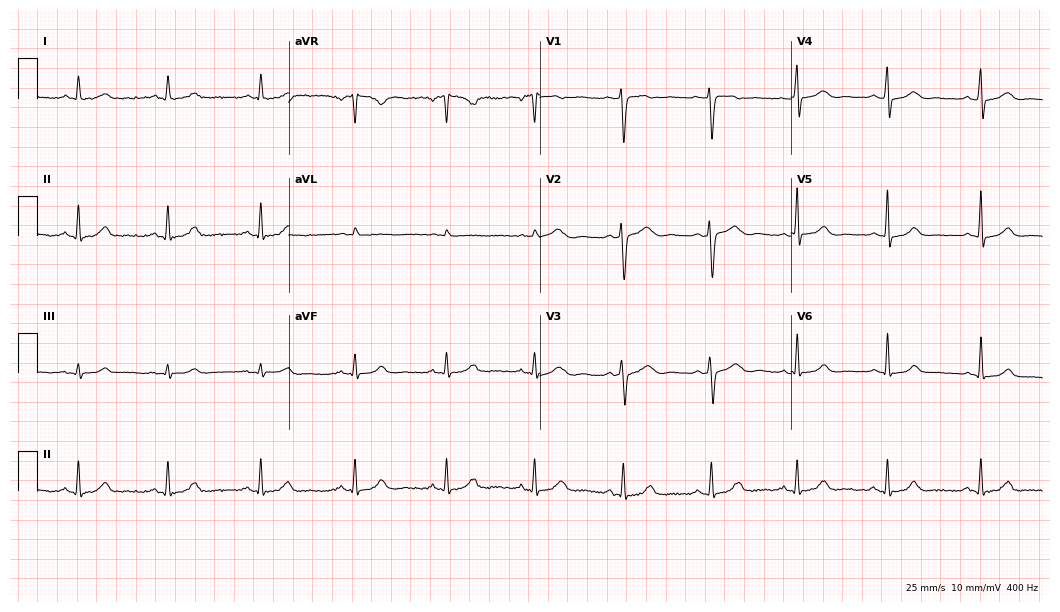
12-lead ECG from a 36-year-old female. No first-degree AV block, right bundle branch block, left bundle branch block, sinus bradycardia, atrial fibrillation or sinus tachycardia recorded for this tracing.